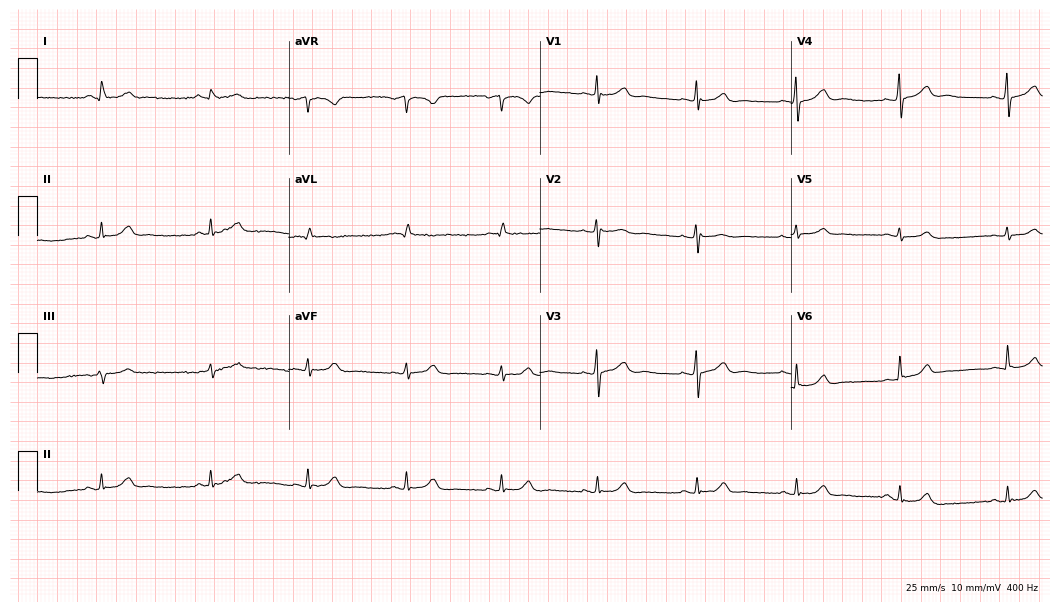
Standard 12-lead ECG recorded from a 51-year-old woman. Read as a normal ECG.